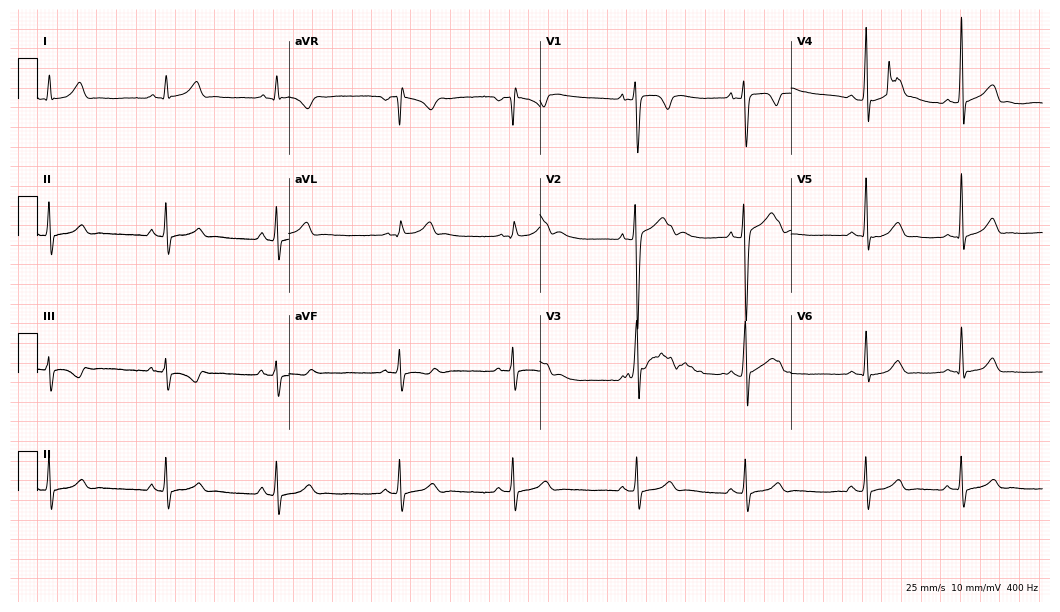
12-lead ECG from a male, 18 years old. Recorded interpretation: within normal limits.